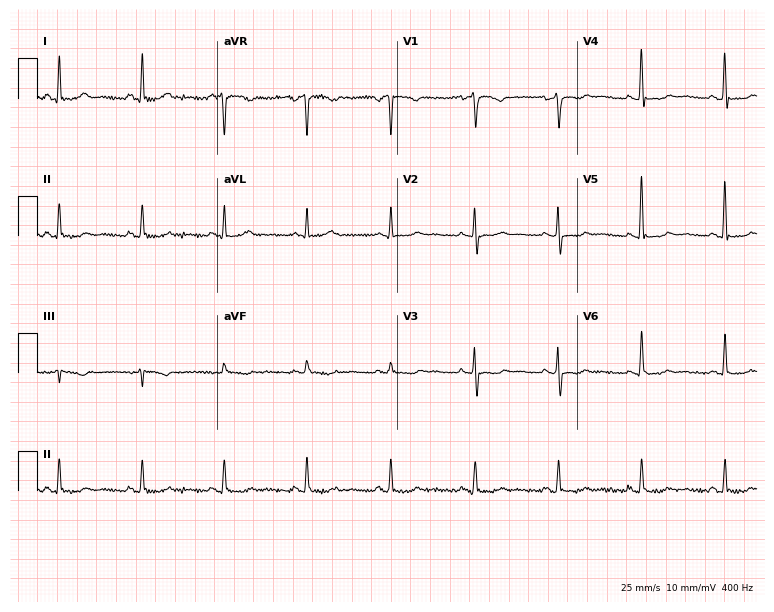
12-lead ECG from a woman, 59 years old. No first-degree AV block, right bundle branch block, left bundle branch block, sinus bradycardia, atrial fibrillation or sinus tachycardia recorded for this tracing. Findings outside these six are not listed.